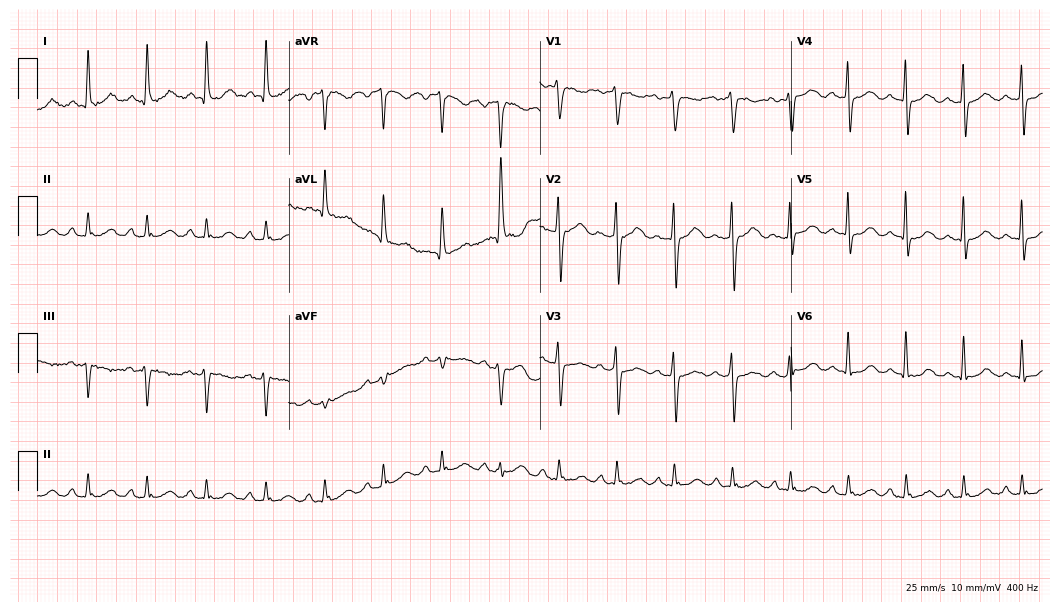
Resting 12-lead electrocardiogram (10.2-second recording at 400 Hz). Patient: a female, 47 years old. The tracing shows sinus tachycardia (a sinus rate of 100 beats per minute or more).